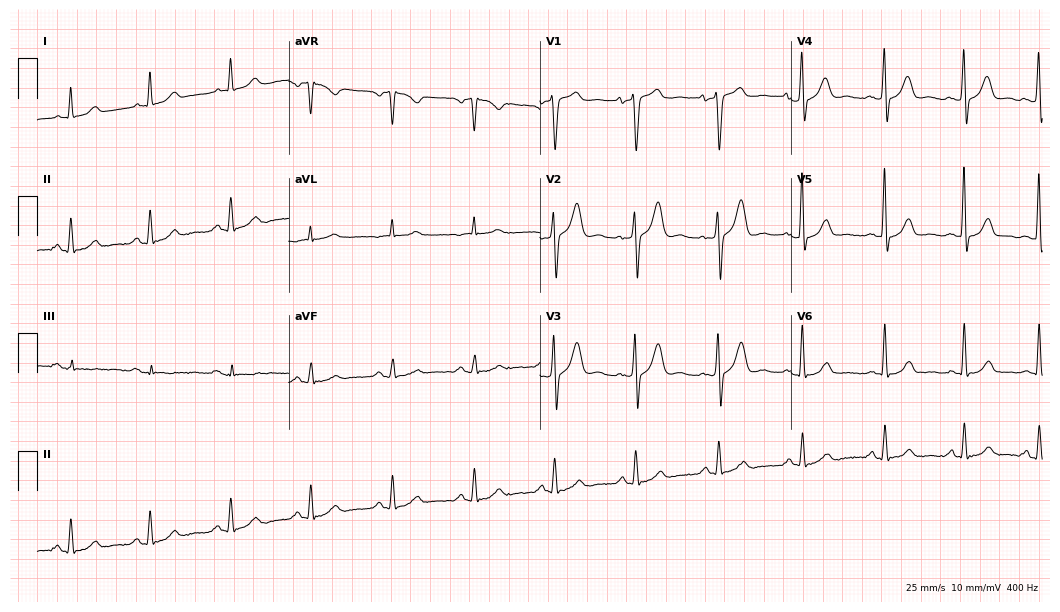
ECG (10.2-second recording at 400 Hz) — a 43-year-old man. Labelled as a normal ECG.